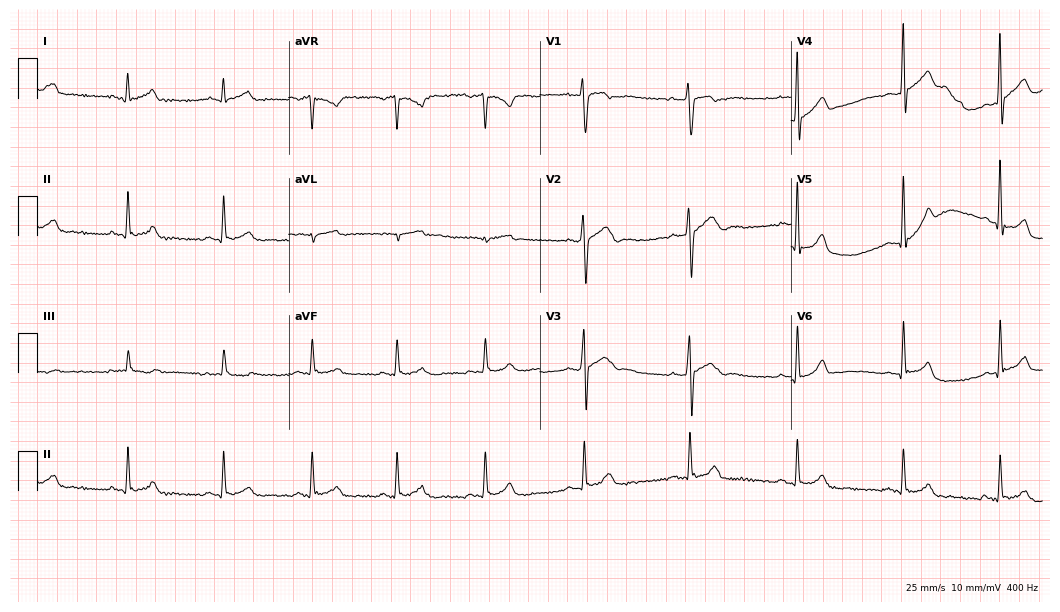
Standard 12-lead ECG recorded from a 27-year-old male. Read as a normal ECG.